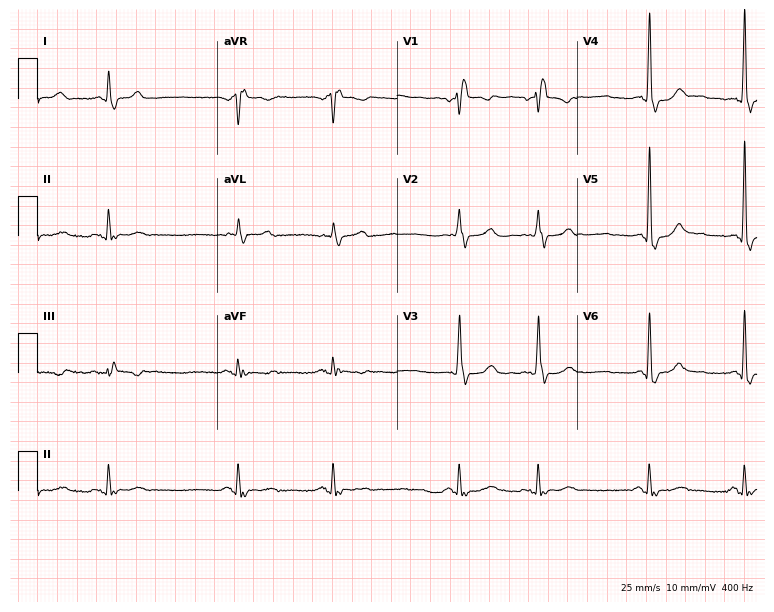
12-lead ECG from a male, 77 years old. Shows right bundle branch block.